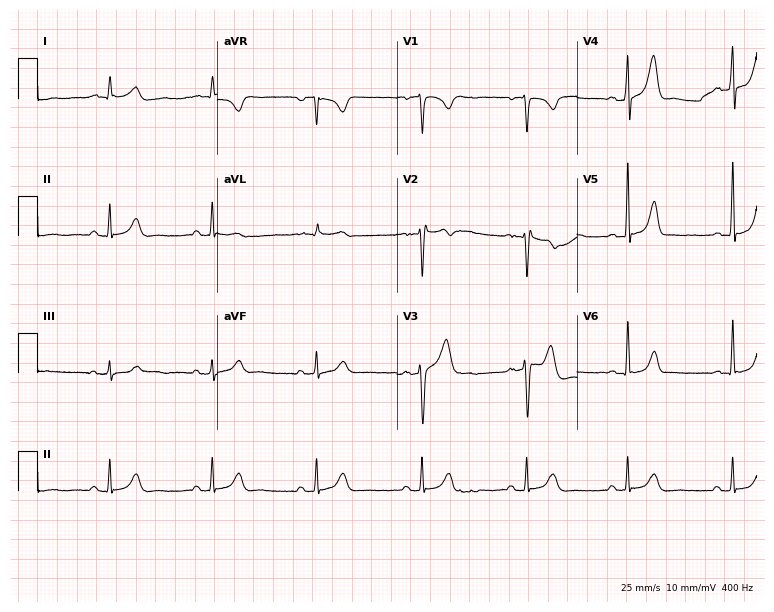
Electrocardiogram (7.3-second recording at 400 Hz), a male patient, 47 years old. Overall reading on record: normal ECG.